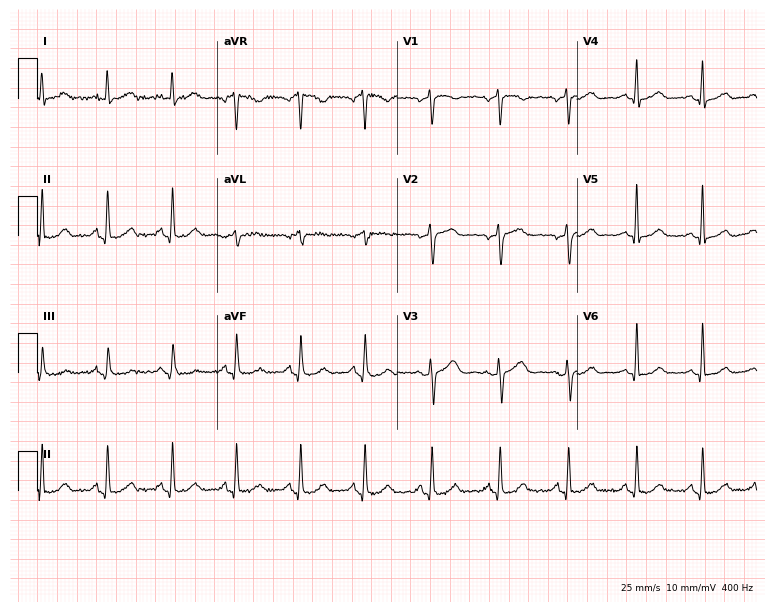
Resting 12-lead electrocardiogram (7.3-second recording at 400 Hz). Patient: a 59-year-old female. Read as a normal ECG.